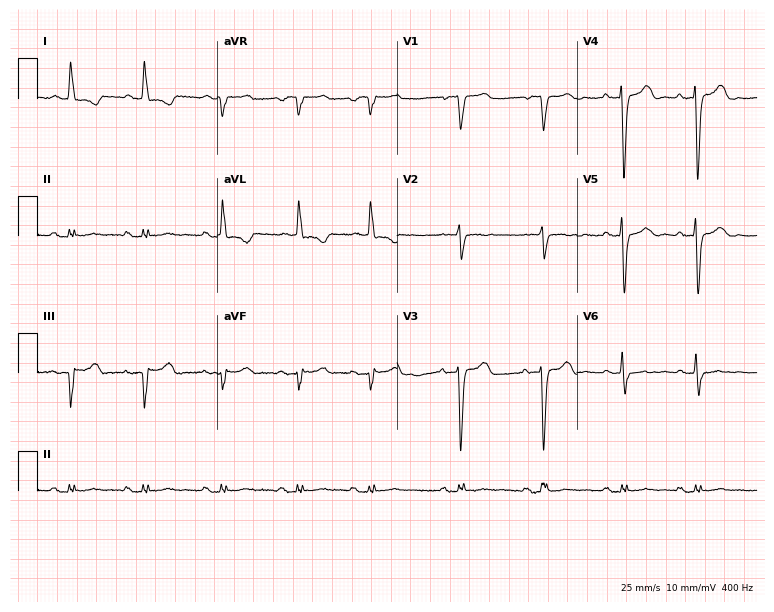
Electrocardiogram (7.3-second recording at 400 Hz), a female, 79 years old. Of the six screened findings (first-degree AV block, right bundle branch block, left bundle branch block, sinus bradycardia, atrial fibrillation, sinus tachycardia), none is recorded.